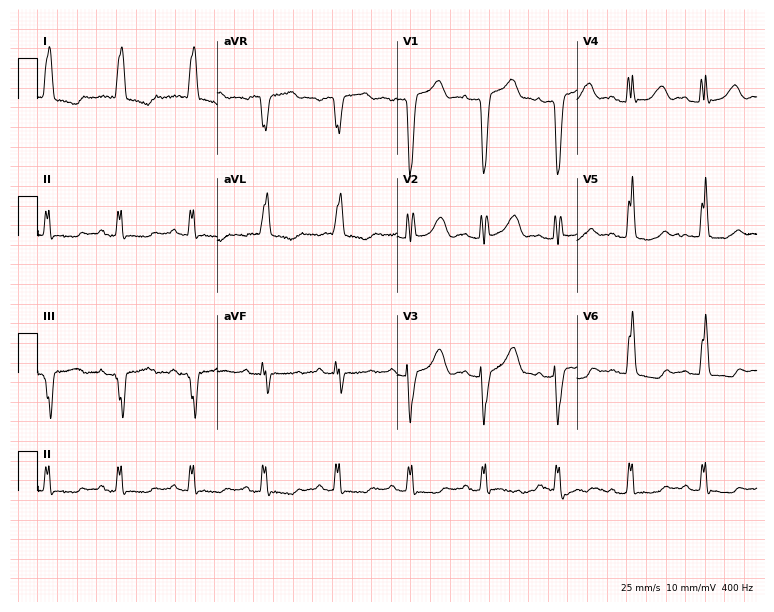
Standard 12-lead ECG recorded from an 85-year-old woman. The tracing shows left bundle branch block.